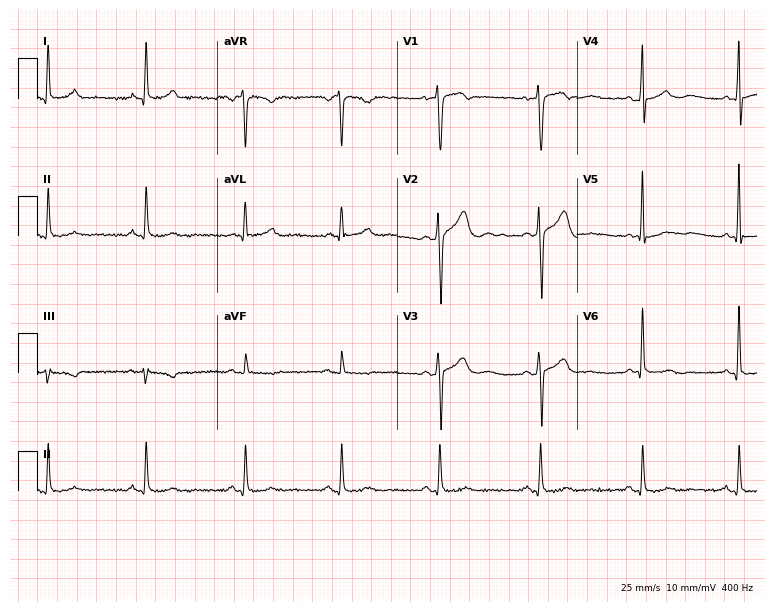
Electrocardiogram, a 47-year-old man. Of the six screened findings (first-degree AV block, right bundle branch block, left bundle branch block, sinus bradycardia, atrial fibrillation, sinus tachycardia), none is recorded.